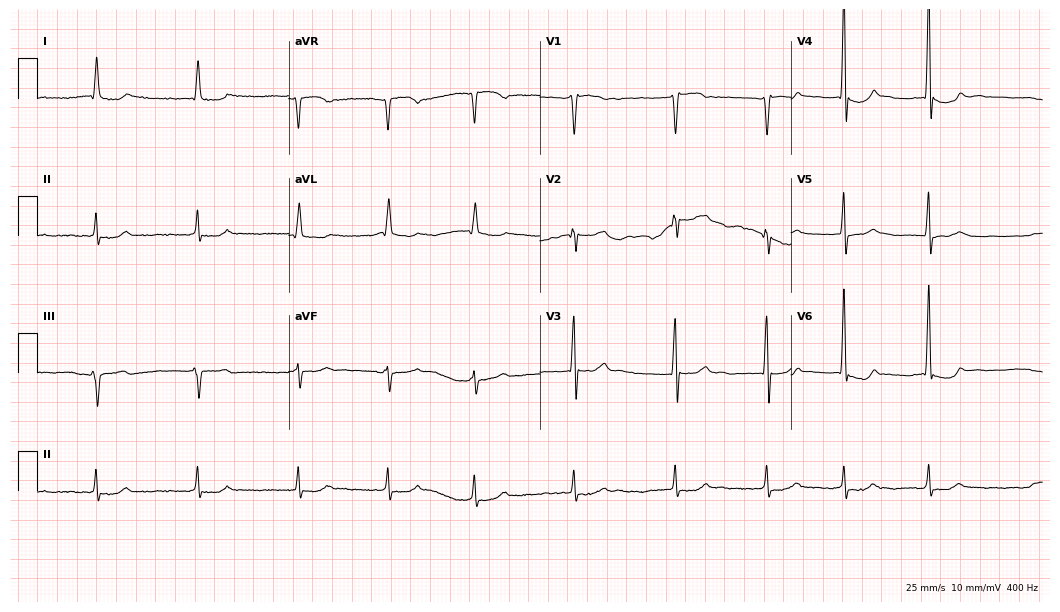
12-lead ECG from a male patient, 72 years old. Findings include atrial fibrillation.